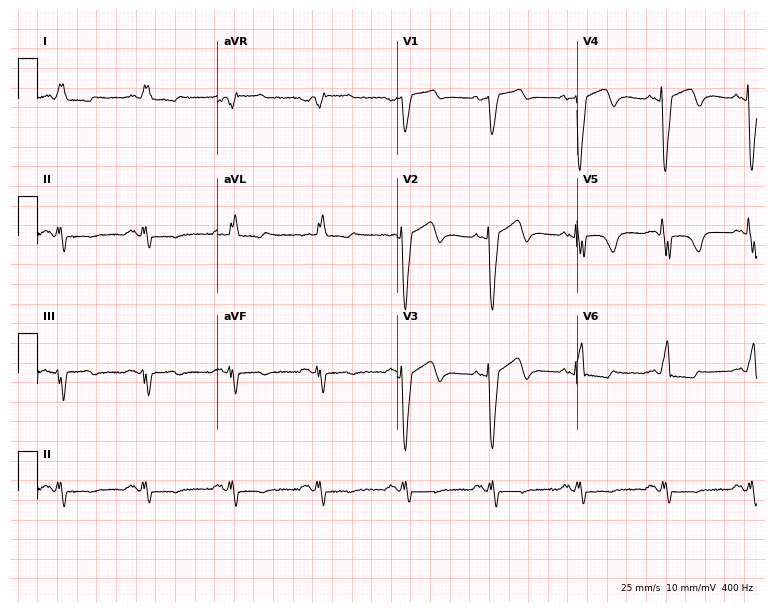
12-lead ECG from a 78-year-old female. Findings include left bundle branch block.